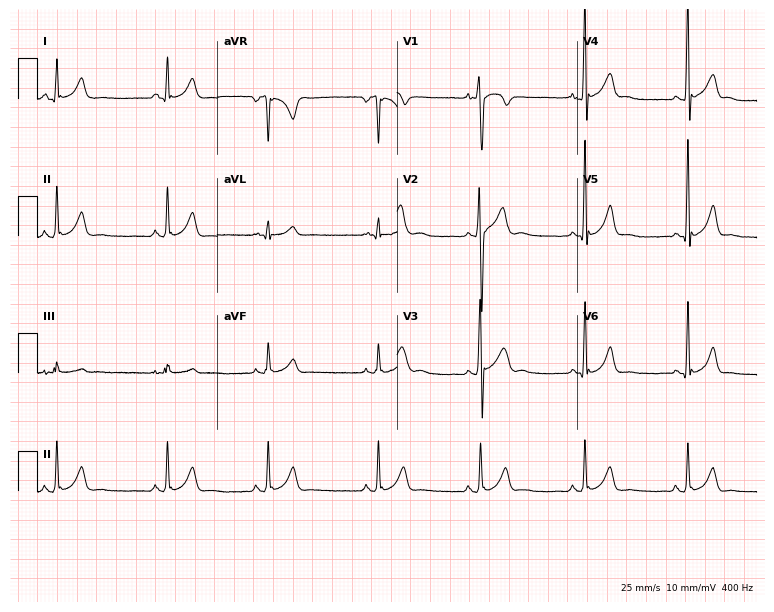
12-lead ECG from a 17-year-old male. No first-degree AV block, right bundle branch block, left bundle branch block, sinus bradycardia, atrial fibrillation or sinus tachycardia recorded for this tracing.